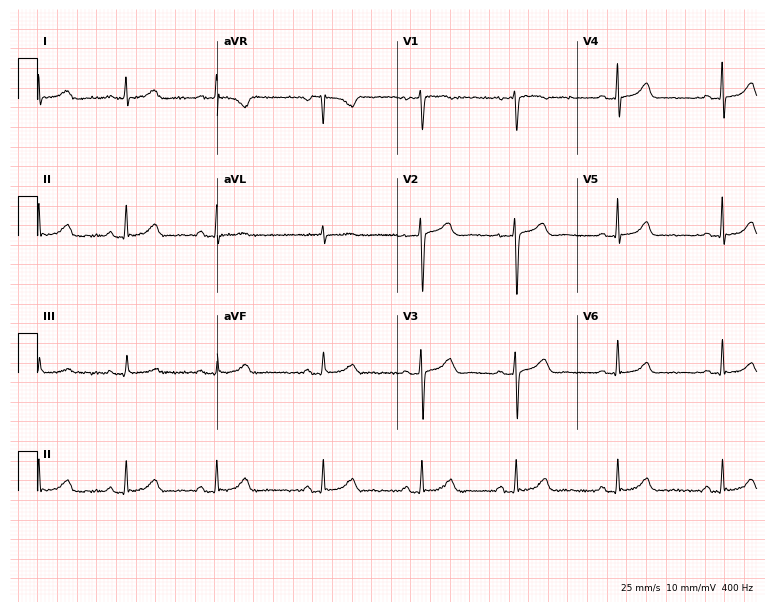
Electrocardiogram, a female, 33 years old. Overall reading on record: normal ECG.